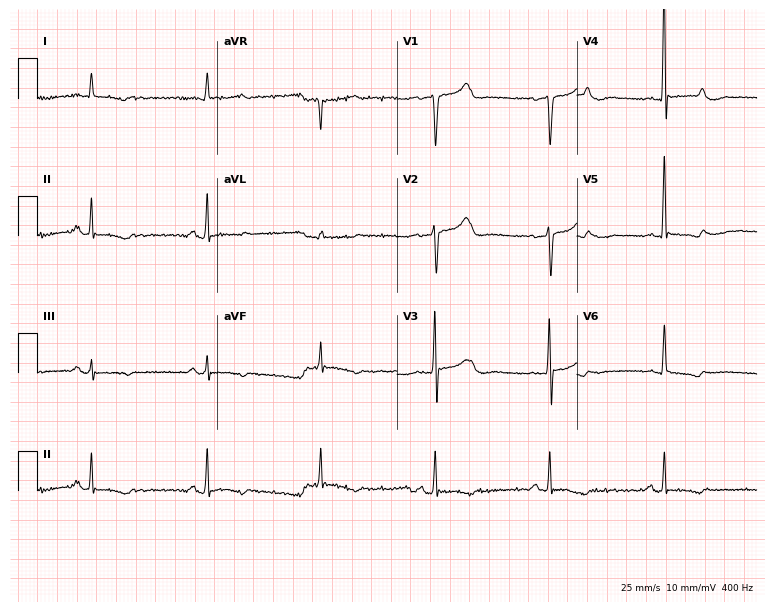
12-lead ECG (7.3-second recording at 400 Hz) from an 81-year-old male. Screened for six findings — first-degree AV block, right bundle branch block (RBBB), left bundle branch block (LBBB), sinus bradycardia, atrial fibrillation (AF), sinus tachycardia — none is recorded. Other findings, if any, are not listed.